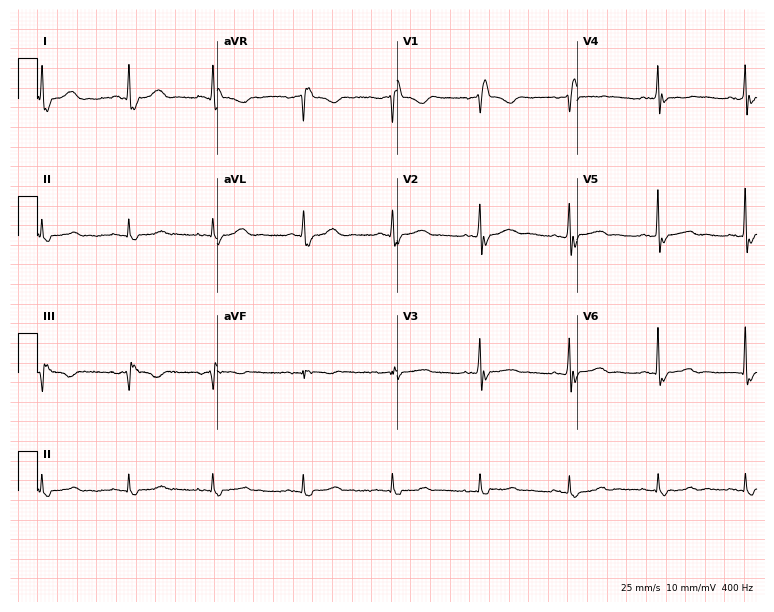
Electrocardiogram (7.3-second recording at 400 Hz), a 64-year-old female. Interpretation includes right bundle branch block.